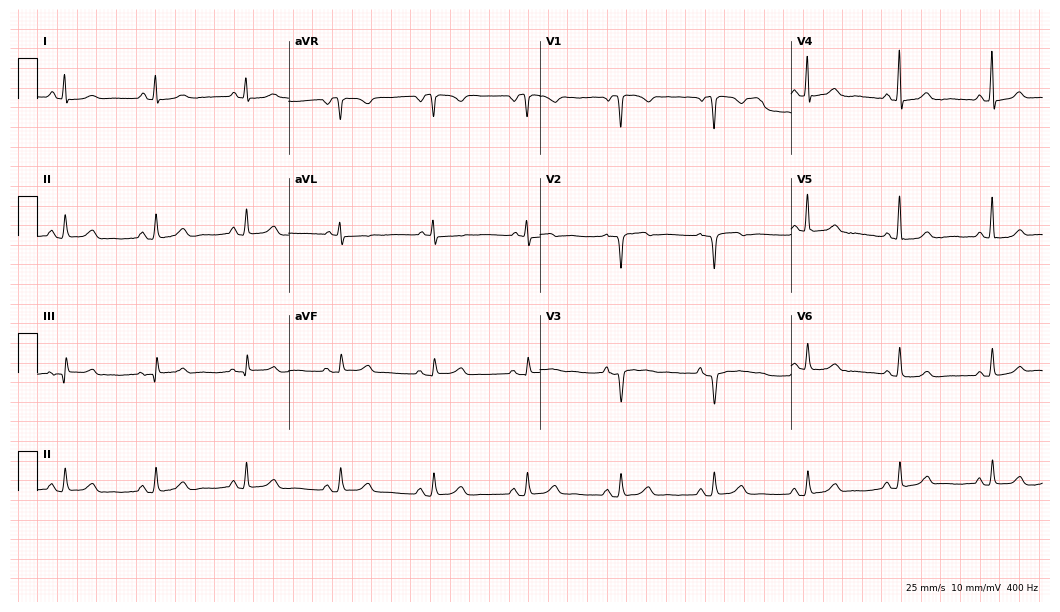
12-lead ECG from an 81-year-old woman (10.2-second recording at 400 Hz). No first-degree AV block, right bundle branch block, left bundle branch block, sinus bradycardia, atrial fibrillation or sinus tachycardia recorded for this tracing.